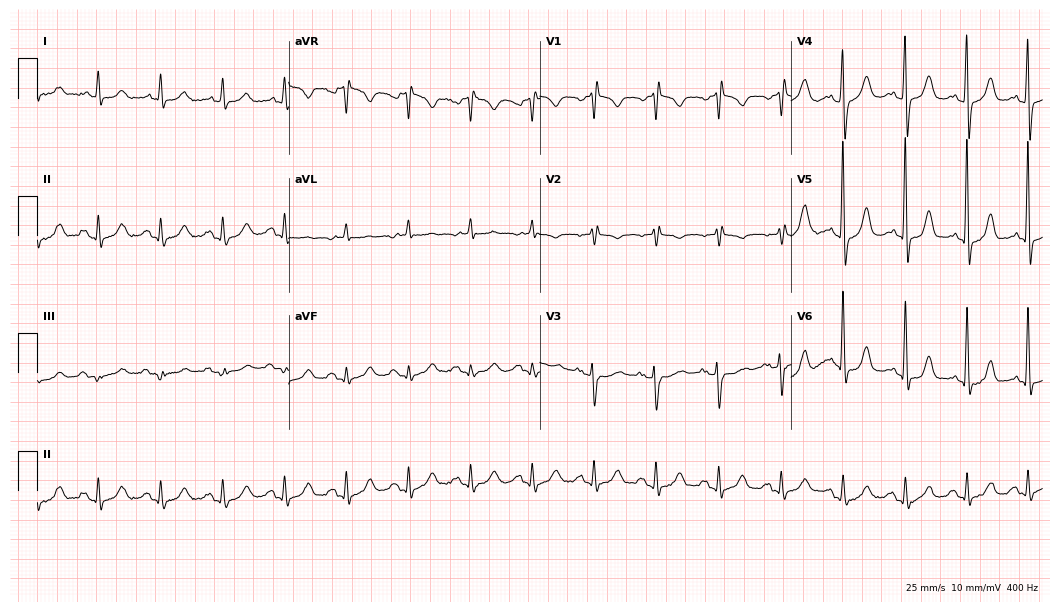
12-lead ECG from a 72-year-old female (10.2-second recording at 400 Hz). Recorded interpretation: within normal limits.